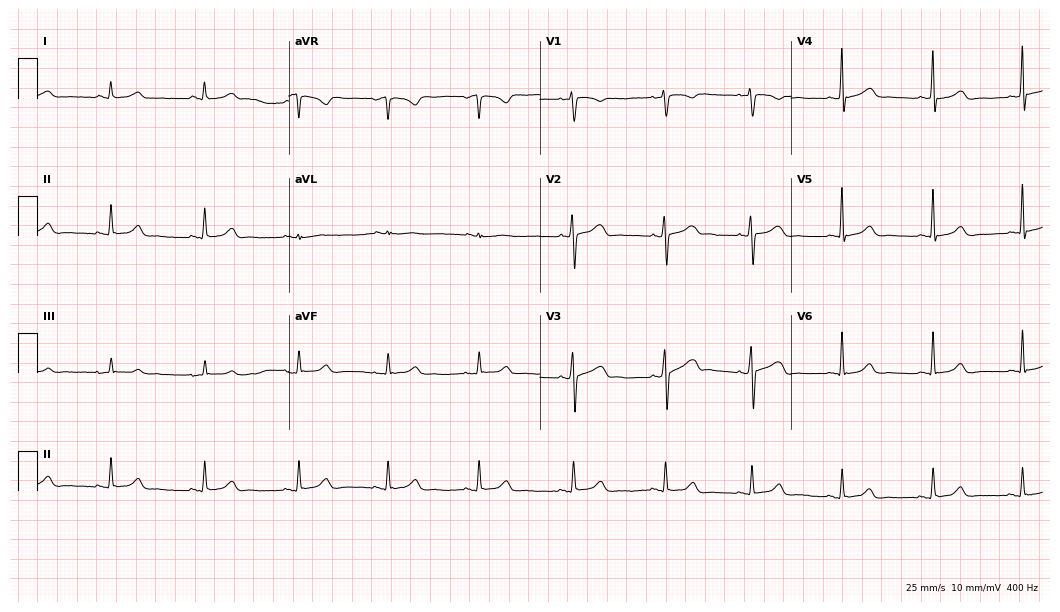
Resting 12-lead electrocardiogram. Patient: a 28-year-old female. Read as a normal ECG.